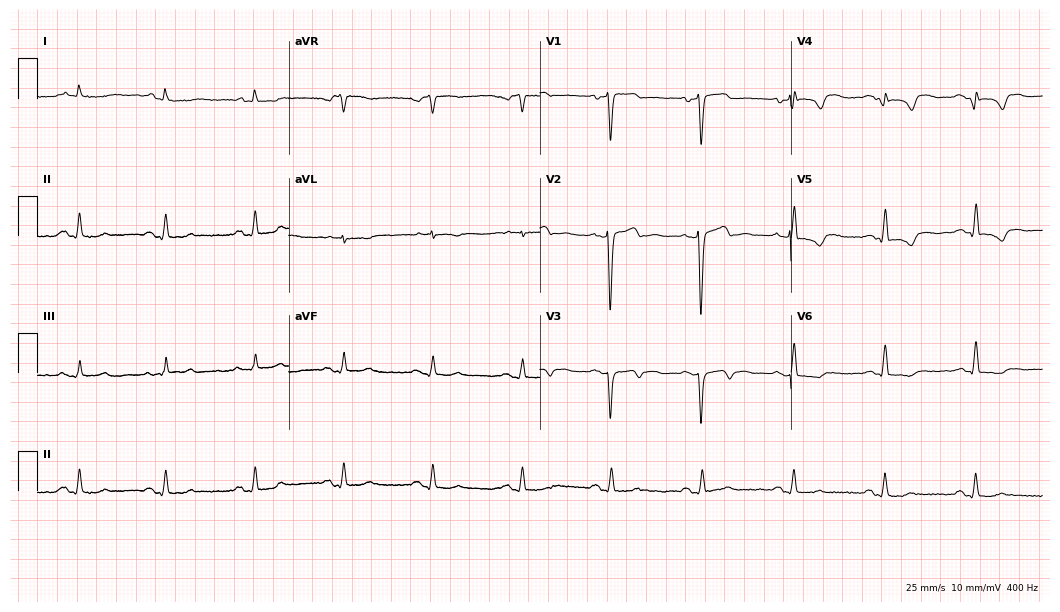
ECG — a man, 80 years old. Screened for six findings — first-degree AV block, right bundle branch block, left bundle branch block, sinus bradycardia, atrial fibrillation, sinus tachycardia — none is recorded. Findings outside these six are not listed.